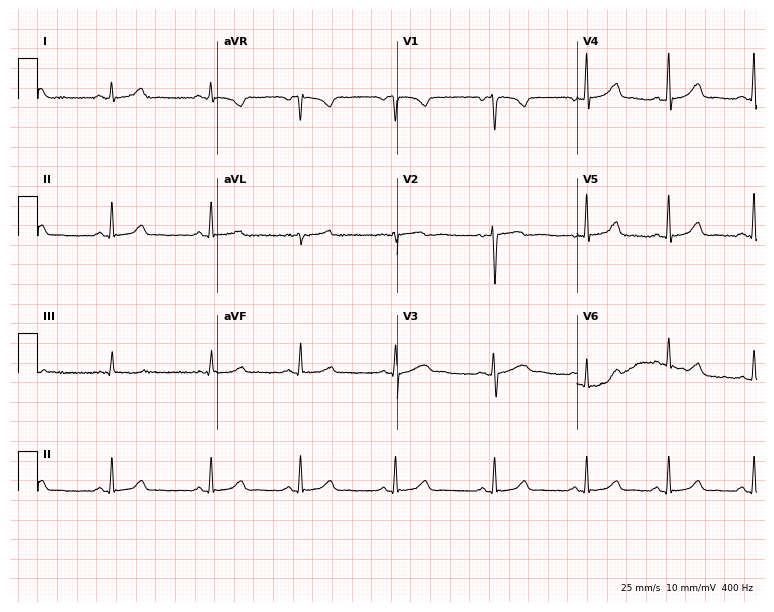
ECG — a female patient, 26 years old. Labelled as a normal ECG.